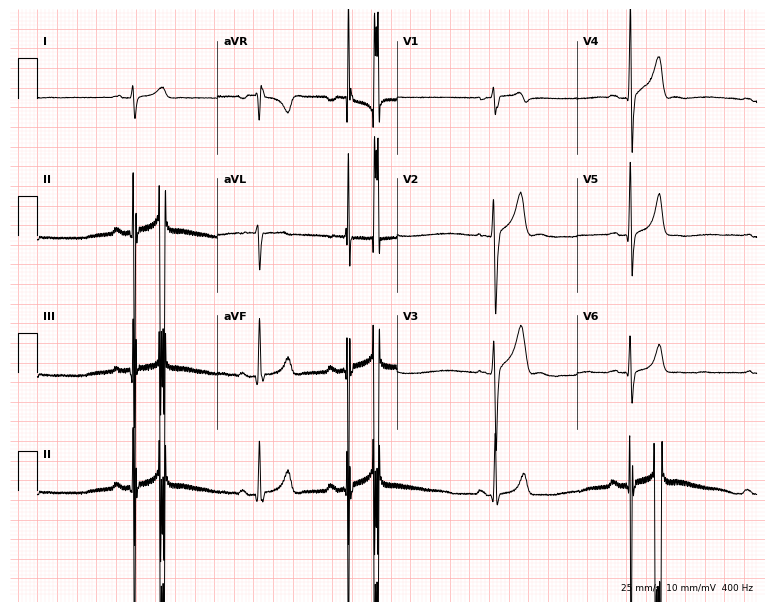
12-lead ECG from a man, 20 years old. Findings include sinus bradycardia (a sinus rate of 50 beats per minute or less).